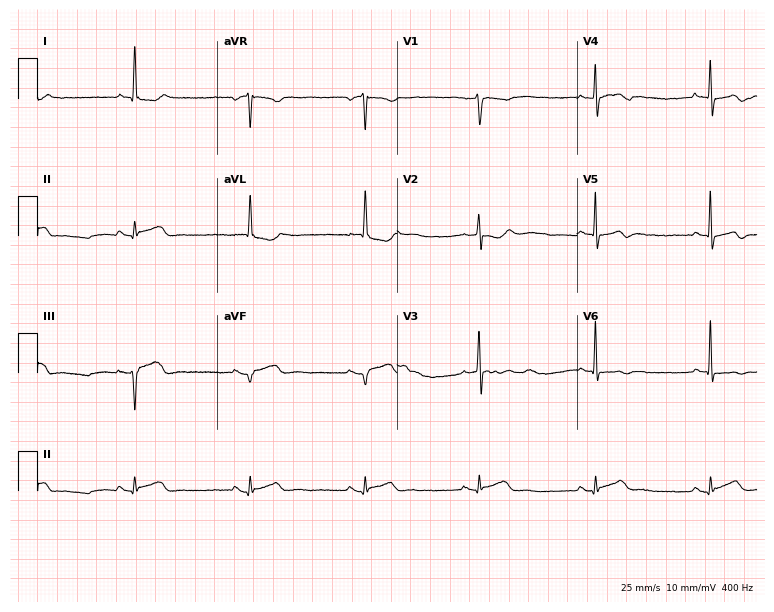
12-lead ECG from a 58-year-old man. No first-degree AV block, right bundle branch block (RBBB), left bundle branch block (LBBB), sinus bradycardia, atrial fibrillation (AF) or sinus tachycardia recorded for this tracing.